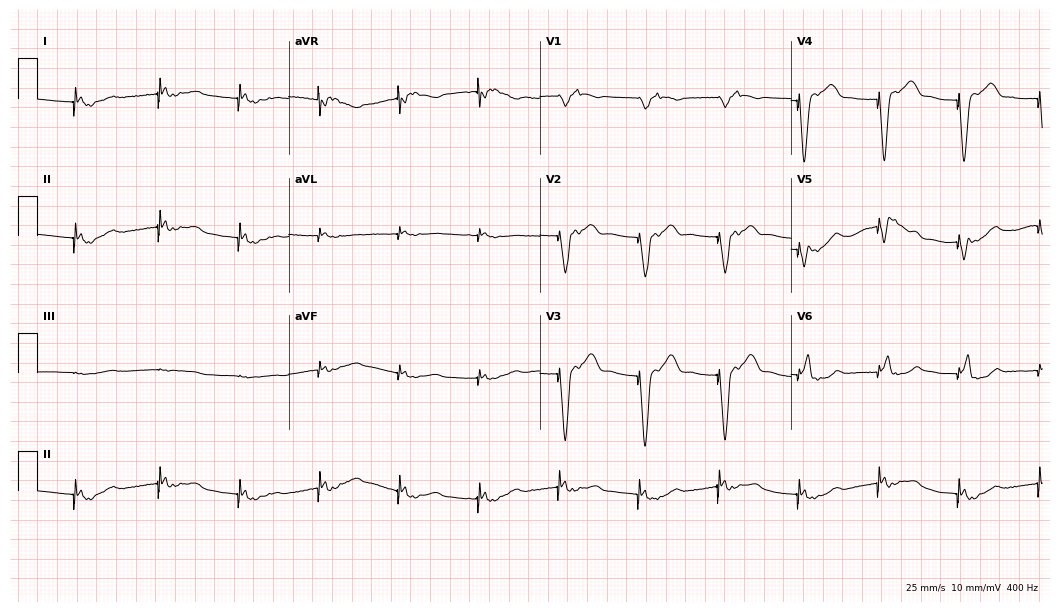
Standard 12-lead ECG recorded from an 88-year-old female patient. None of these six findings is recorded: first-degree AV block, right bundle branch block, left bundle branch block, sinus bradycardia, atrial fibrillation, sinus tachycardia. Only these six findings were labelled.